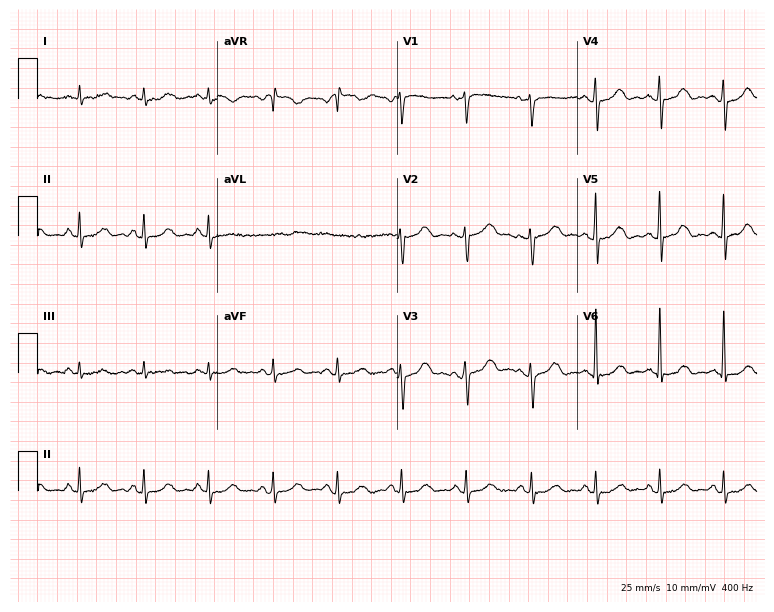
Electrocardiogram, a female, 65 years old. Of the six screened findings (first-degree AV block, right bundle branch block, left bundle branch block, sinus bradycardia, atrial fibrillation, sinus tachycardia), none is recorded.